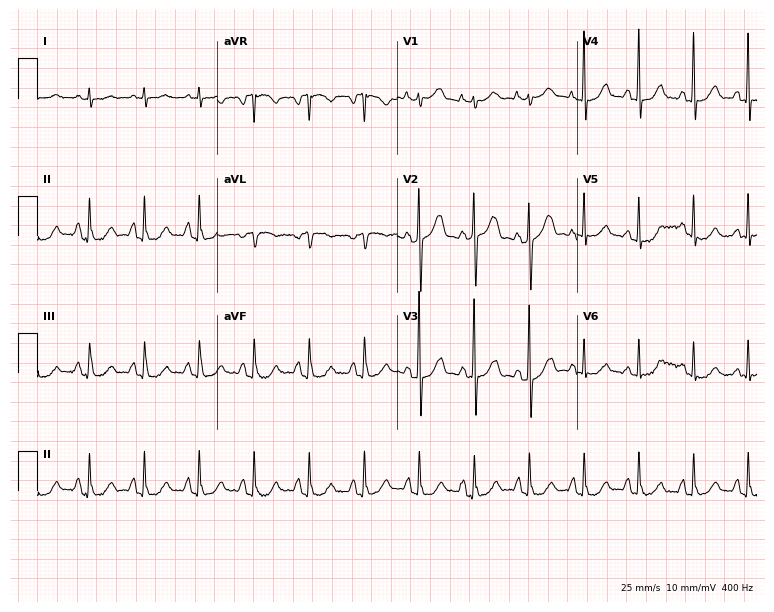
ECG — an 81-year-old man. Findings include sinus tachycardia (a sinus rate of 100 beats per minute or more).